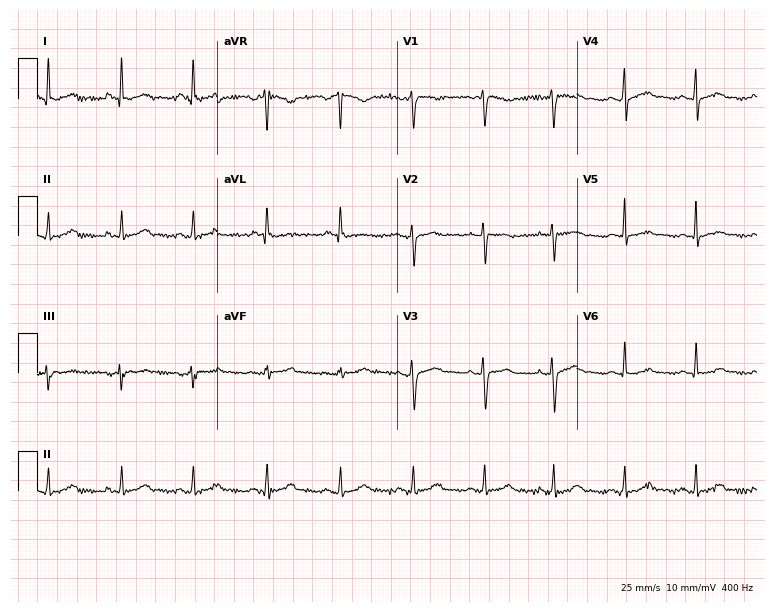
Standard 12-lead ECG recorded from a 44-year-old female patient. Read as a normal ECG.